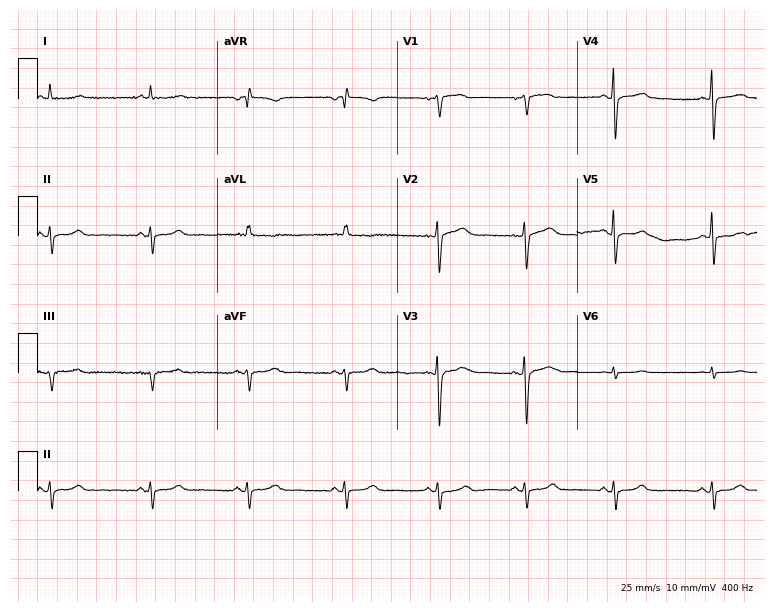
12-lead ECG from a 63-year-old female patient (7.3-second recording at 400 Hz). No first-degree AV block, right bundle branch block, left bundle branch block, sinus bradycardia, atrial fibrillation or sinus tachycardia recorded for this tracing.